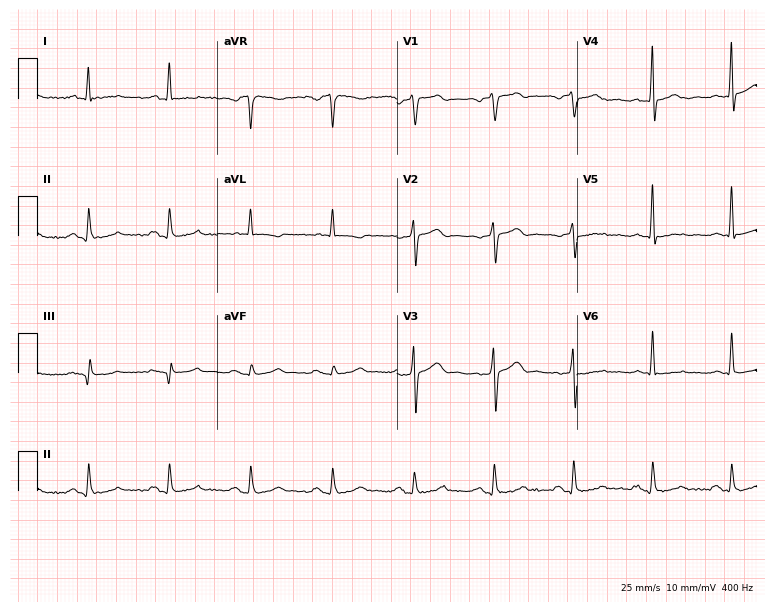
Resting 12-lead electrocardiogram. Patient: a 63-year-old male. None of these six findings is recorded: first-degree AV block, right bundle branch block, left bundle branch block, sinus bradycardia, atrial fibrillation, sinus tachycardia. Only these six findings were labelled.